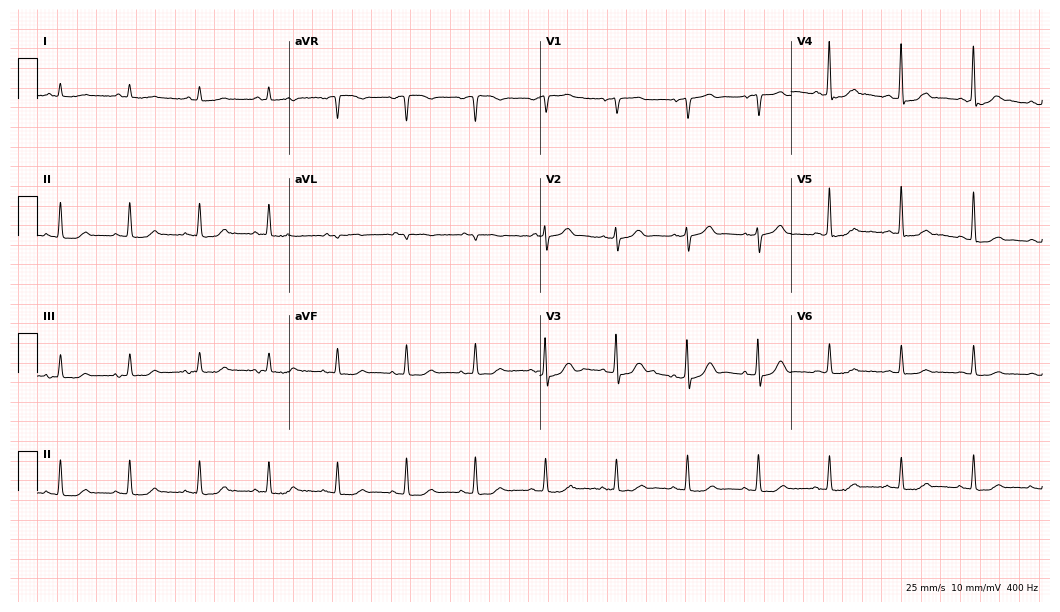
Electrocardiogram, an 82-year-old male patient. Overall reading on record: normal ECG.